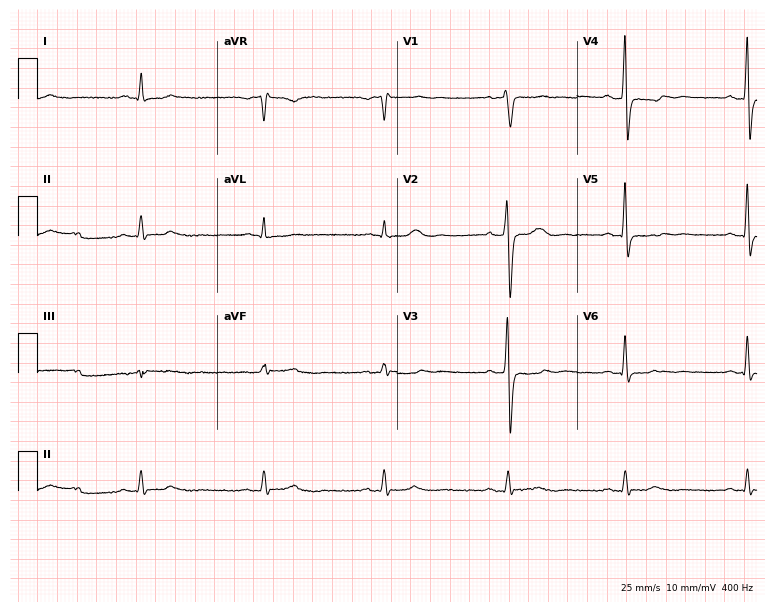
12-lead ECG from a male patient, 57 years old. Findings include sinus bradycardia (a sinus rate of 50 beats per minute or less).